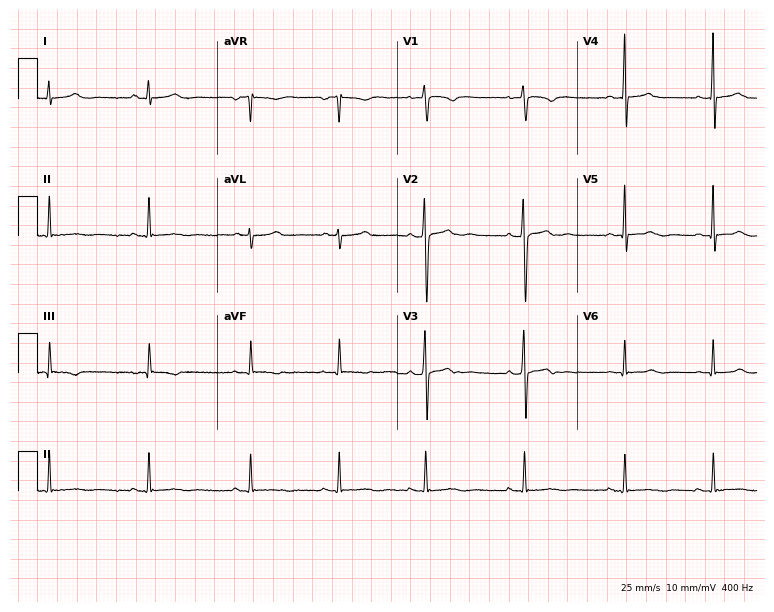
12-lead ECG from a 19-year-old woman. No first-degree AV block, right bundle branch block, left bundle branch block, sinus bradycardia, atrial fibrillation or sinus tachycardia recorded for this tracing.